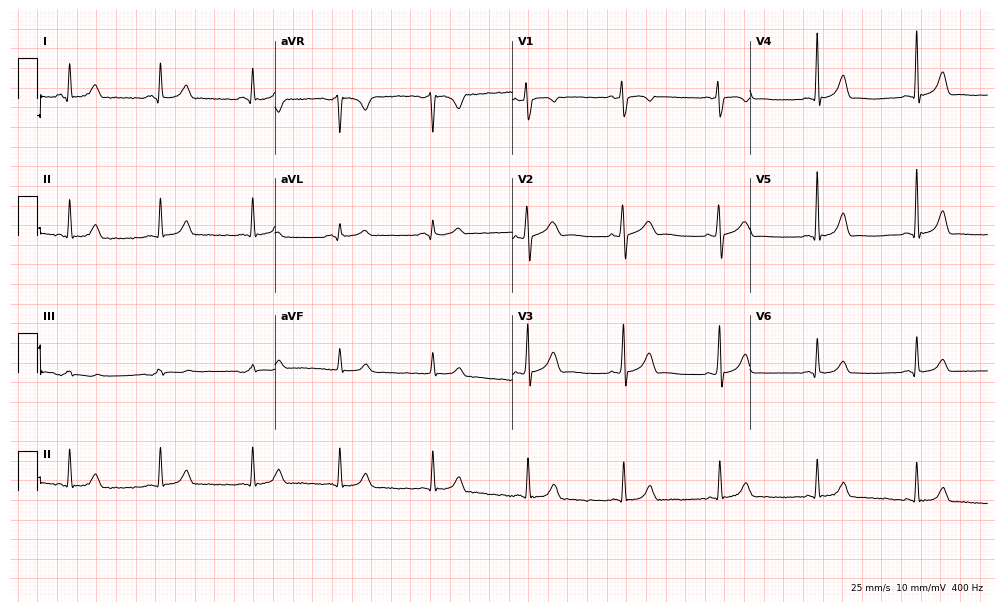
Standard 12-lead ECG recorded from a 25-year-old female (9.7-second recording at 400 Hz). Read as a normal ECG.